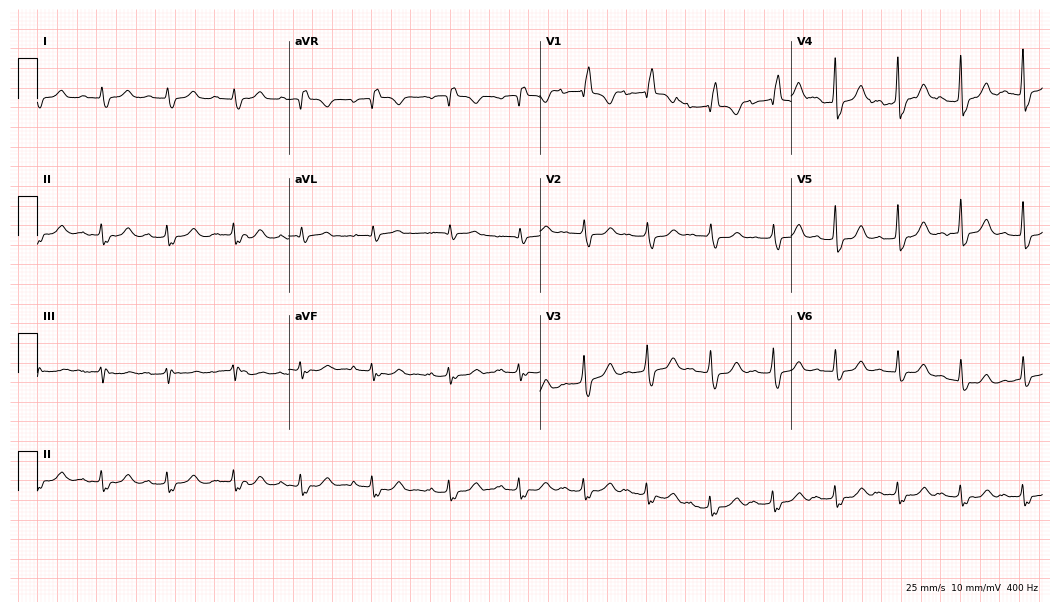
12-lead ECG from a female, 55 years old. Findings include right bundle branch block (RBBB).